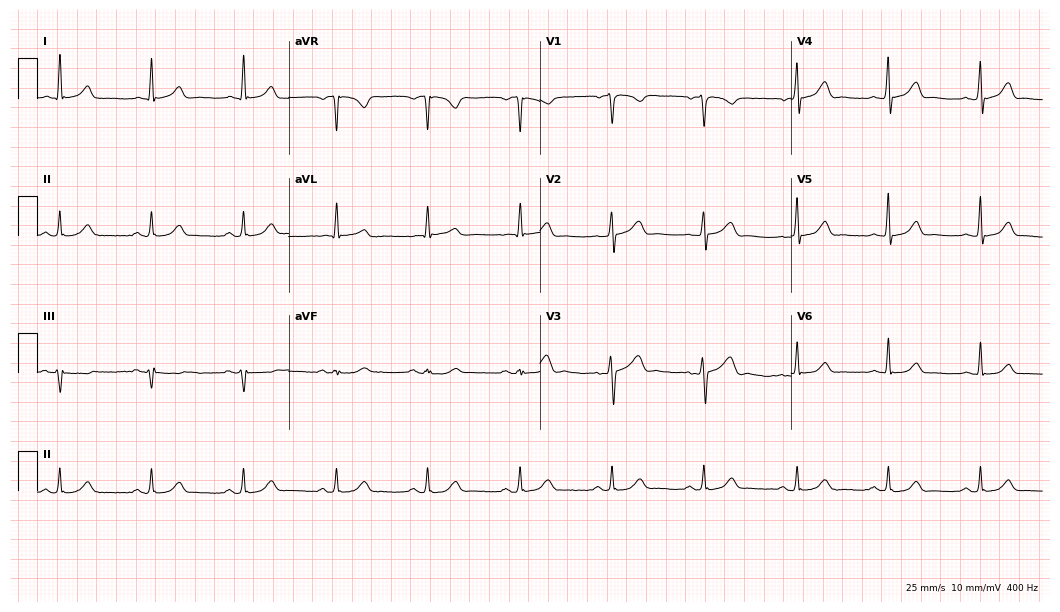
ECG (10.2-second recording at 400 Hz) — a man, 51 years old. Labelled as a normal ECG.